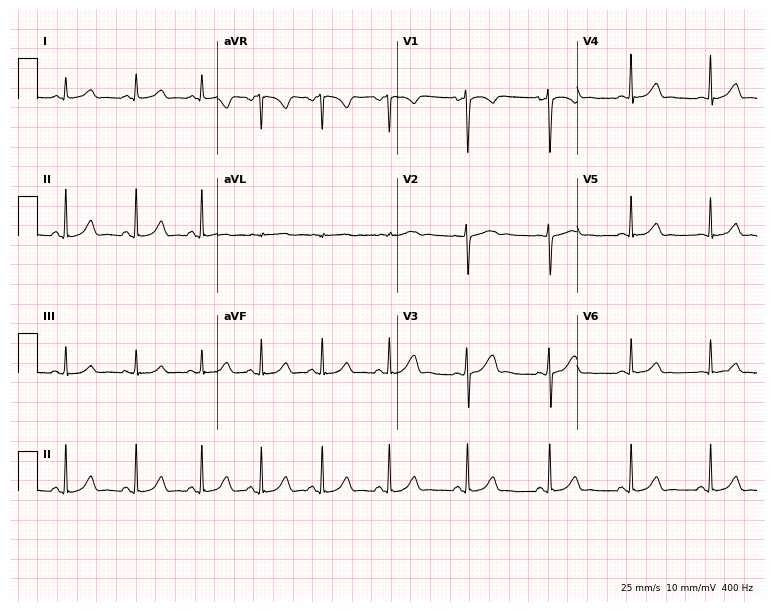
Resting 12-lead electrocardiogram (7.3-second recording at 400 Hz). Patient: a female, 22 years old. None of these six findings is recorded: first-degree AV block, right bundle branch block, left bundle branch block, sinus bradycardia, atrial fibrillation, sinus tachycardia. Findings outside these six are not listed.